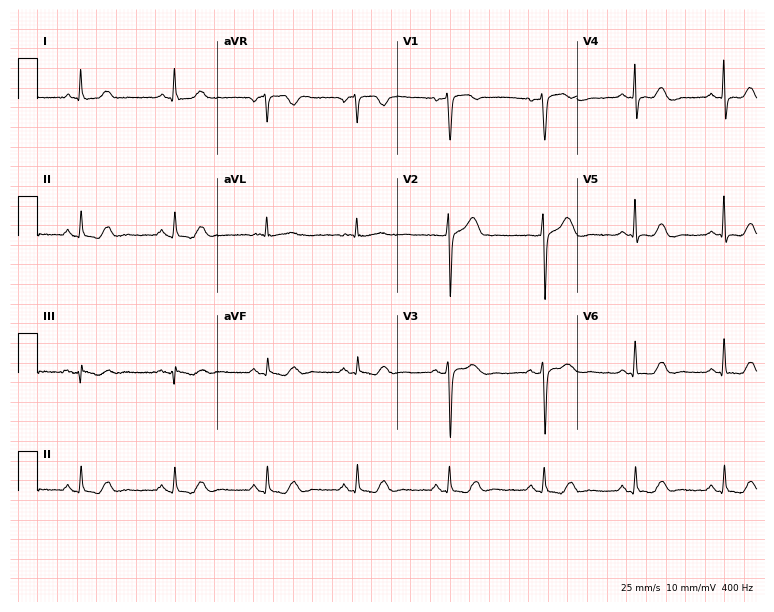
12-lead ECG from a woman, 61 years old (7.3-second recording at 400 Hz). No first-degree AV block, right bundle branch block, left bundle branch block, sinus bradycardia, atrial fibrillation or sinus tachycardia recorded for this tracing. Findings outside these six are not listed.